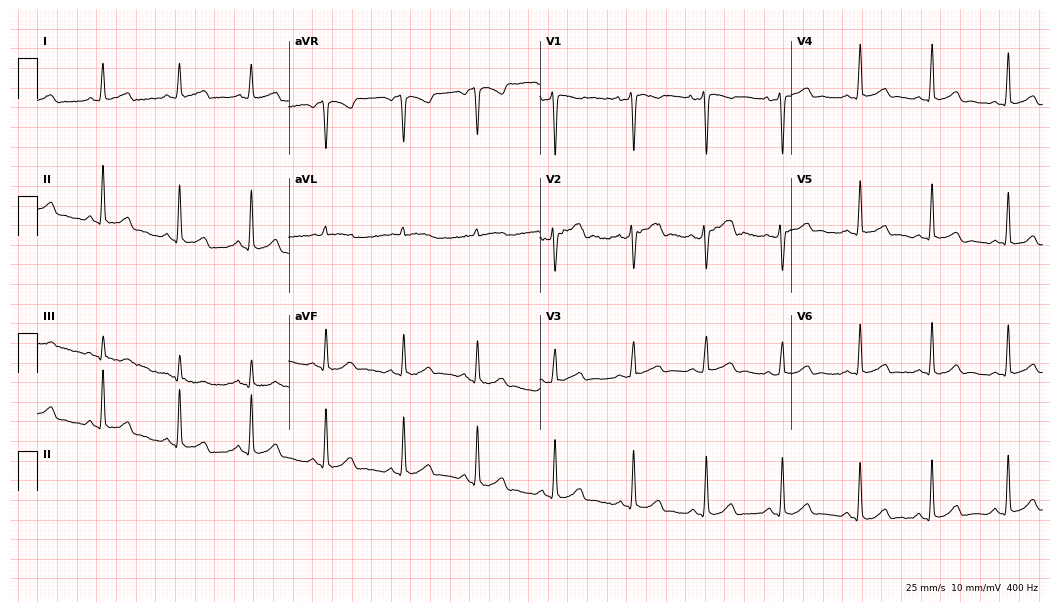
Resting 12-lead electrocardiogram. Patient: a woman, 26 years old. Read as a normal ECG.